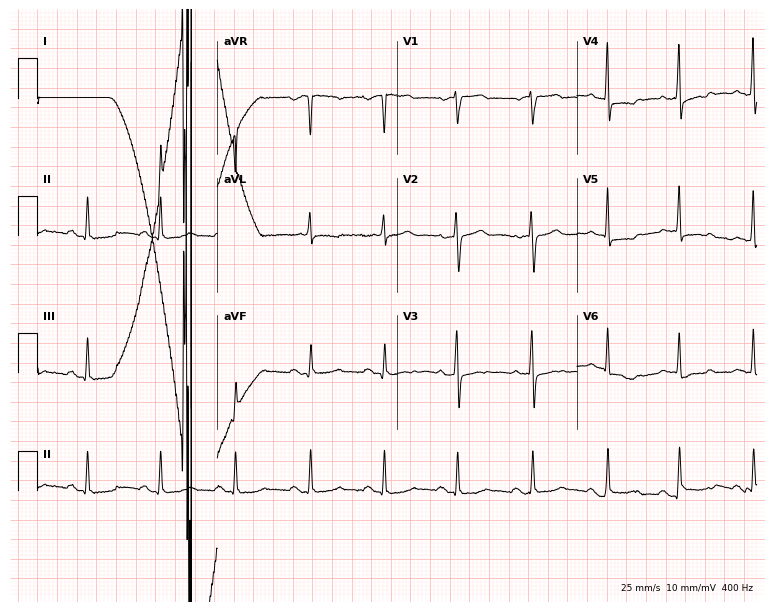
12-lead ECG from a woman, 85 years old. Labelled as a normal ECG.